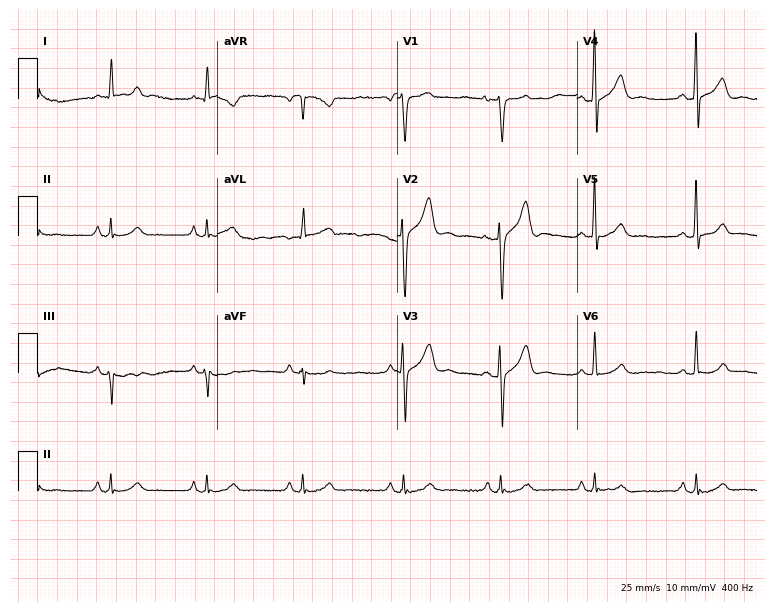
12-lead ECG from a male patient, 38 years old (7.3-second recording at 400 Hz). Recorded interpretation: within normal limits.